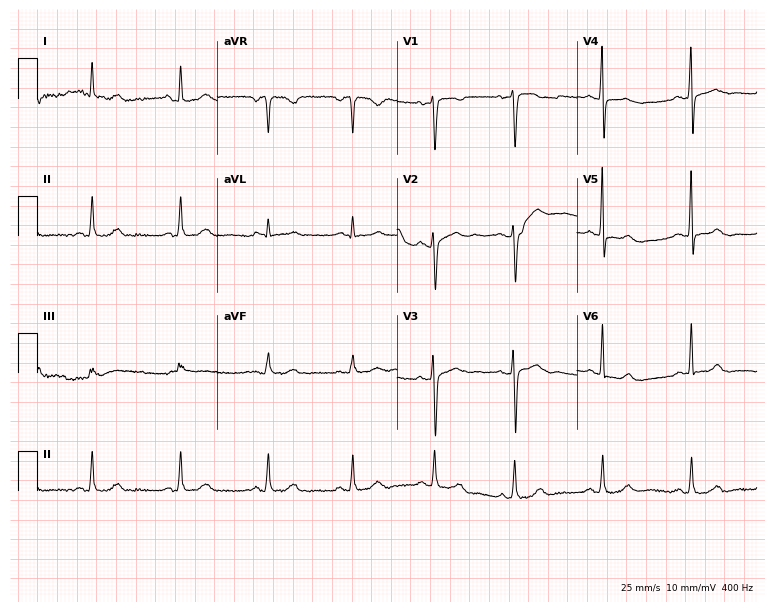
Standard 12-lead ECG recorded from a 39-year-old female. None of these six findings is recorded: first-degree AV block, right bundle branch block, left bundle branch block, sinus bradycardia, atrial fibrillation, sinus tachycardia.